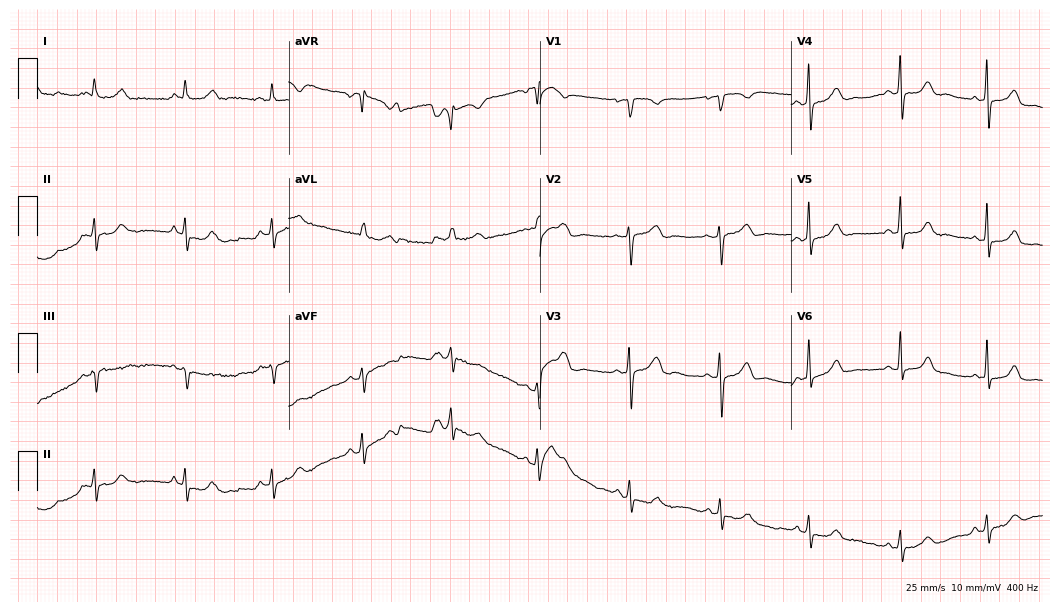
ECG — a female, 34 years old. Labelled as a normal ECG.